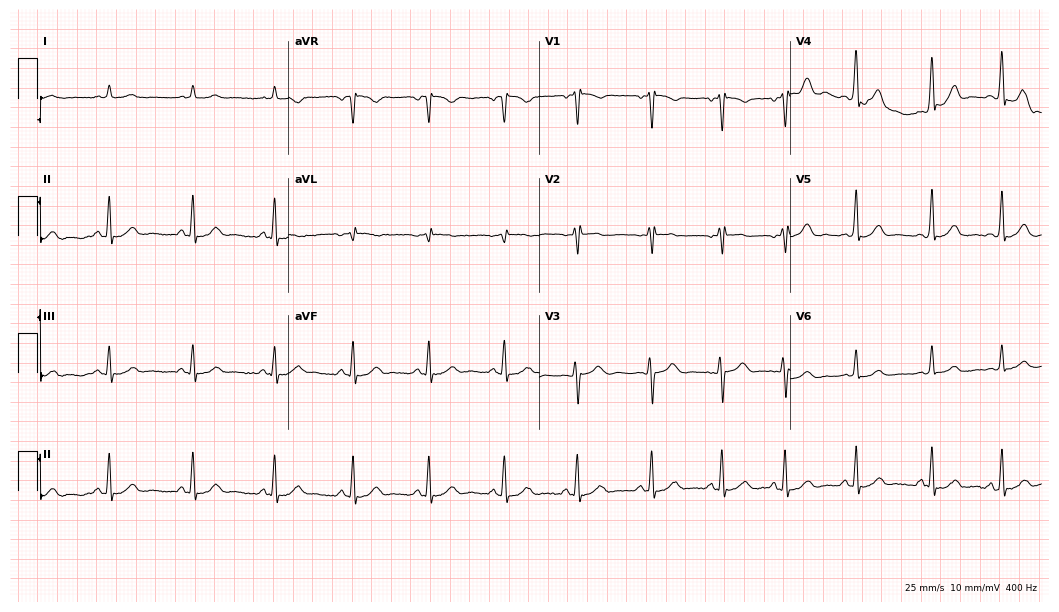
Standard 12-lead ECG recorded from a woman, 28 years old (10.2-second recording at 400 Hz). None of these six findings is recorded: first-degree AV block, right bundle branch block, left bundle branch block, sinus bradycardia, atrial fibrillation, sinus tachycardia.